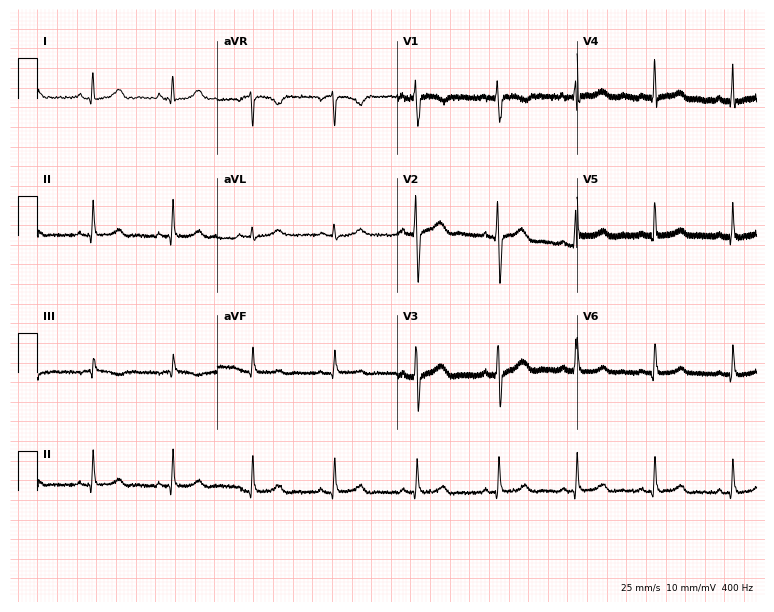
Electrocardiogram (7.3-second recording at 400 Hz), a female patient, 34 years old. Of the six screened findings (first-degree AV block, right bundle branch block (RBBB), left bundle branch block (LBBB), sinus bradycardia, atrial fibrillation (AF), sinus tachycardia), none is recorded.